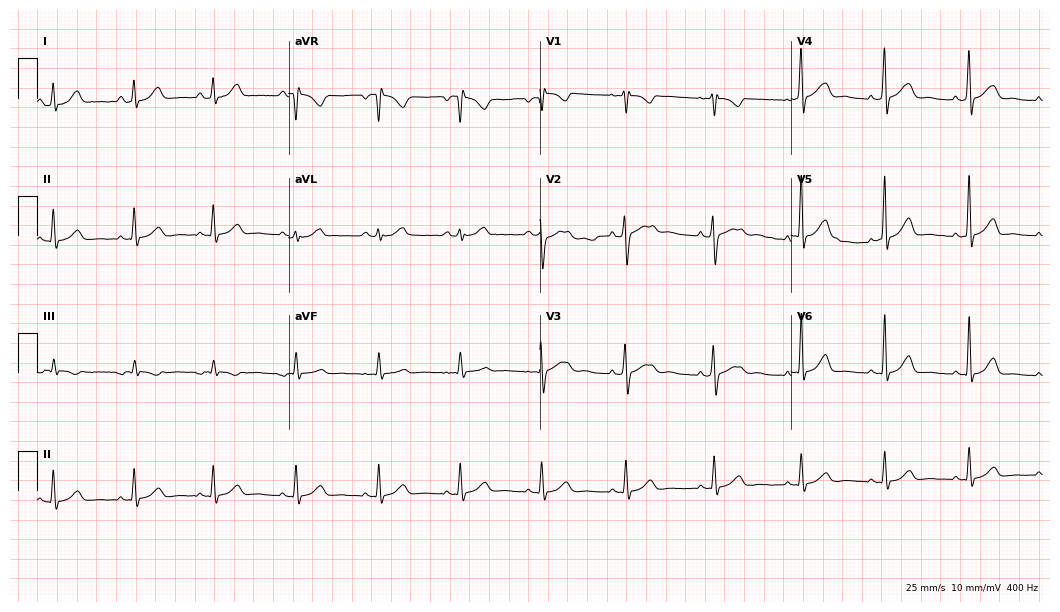
12-lead ECG from a 30-year-old female patient (10.2-second recording at 400 Hz). No first-degree AV block, right bundle branch block (RBBB), left bundle branch block (LBBB), sinus bradycardia, atrial fibrillation (AF) or sinus tachycardia recorded for this tracing.